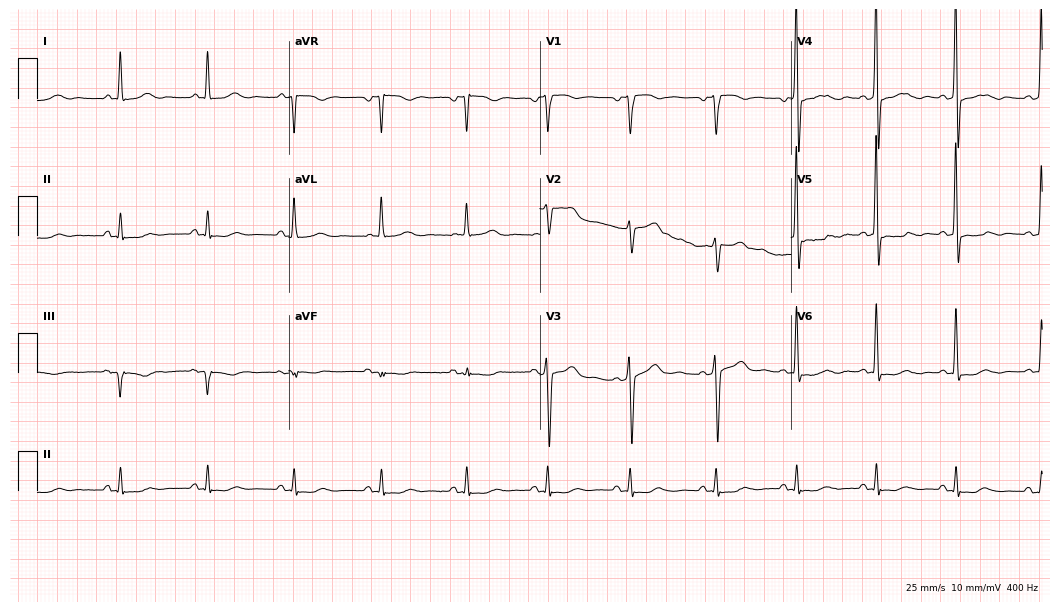
12-lead ECG from a man, 61 years old. Screened for six findings — first-degree AV block, right bundle branch block (RBBB), left bundle branch block (LBBB), sinus bradycardia, atrial fibrillation (AF), sinus tachycardia — none is recorded.